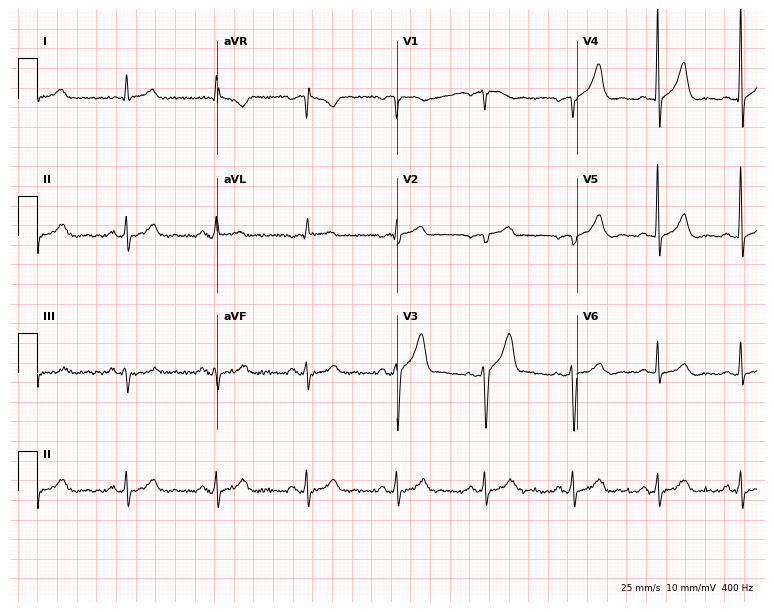
12-lead ECG from a 55-year-old man. Recorded interpretation: within normal limits.